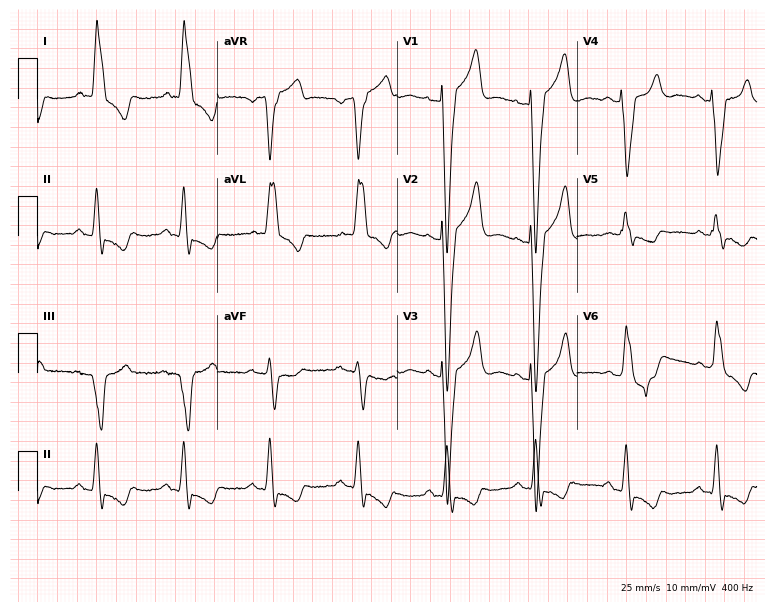
Standard 12-lead ECG recorded from a 64-year-old woman (7.3-second recording at 400 Hz). The tracing shows left bundle branch block.